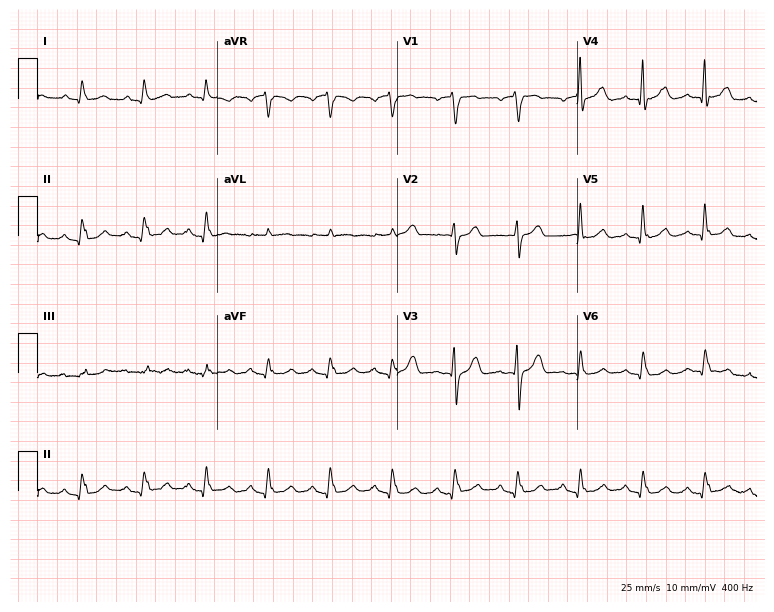
Electrocardiogram, a 75-year-old male. Overall reading on record: normal ECG.